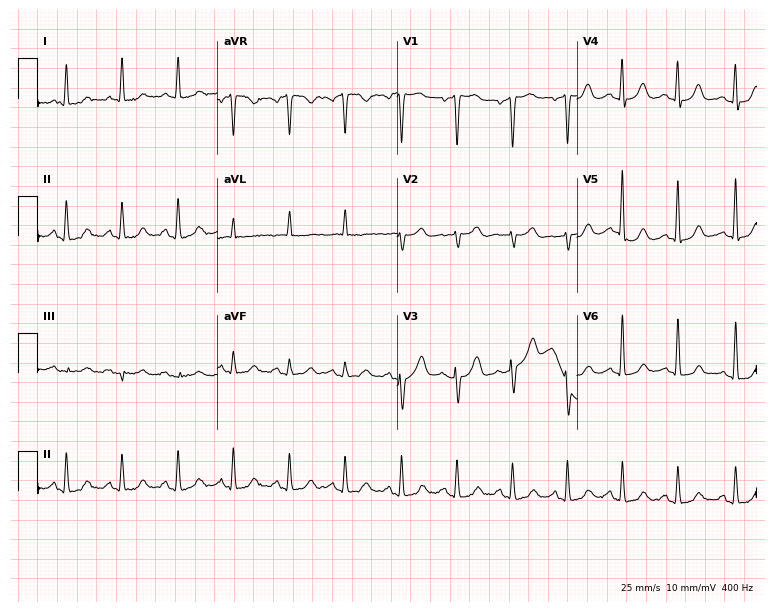
Standard 12-lead ECG recorded from a 76-year-old woman. None of these six findings is recorded: first-degree AV block, right bundle branch block, left bundle branch block, sinus bradycardia, atrial fibrillation, sinus tachycardia. Only these six findings were labelled.